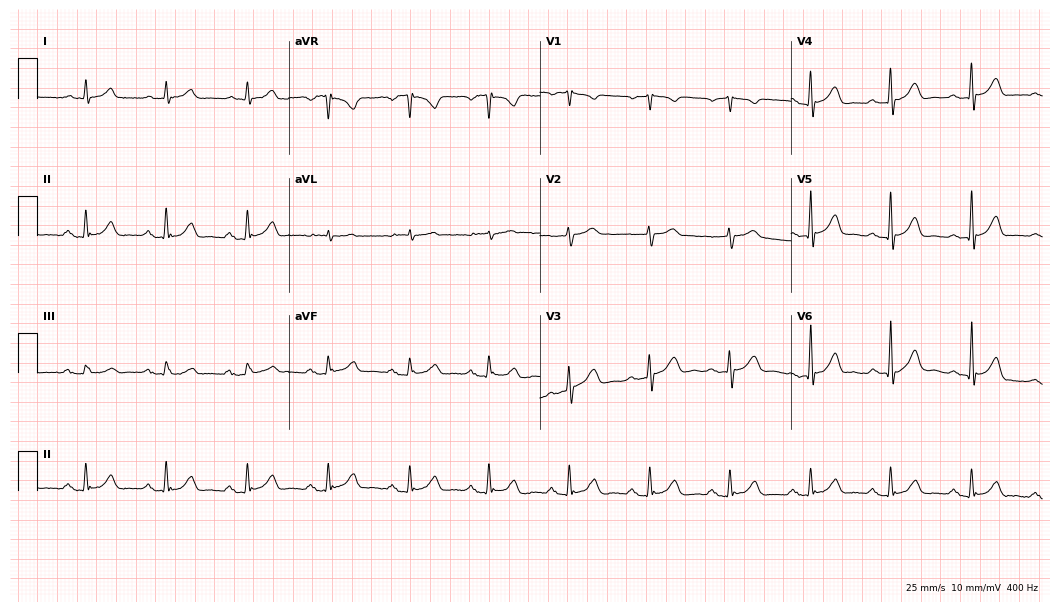
Electrocardiogram, a female patient, 65 years old. Overall reading on record: normal ECG.